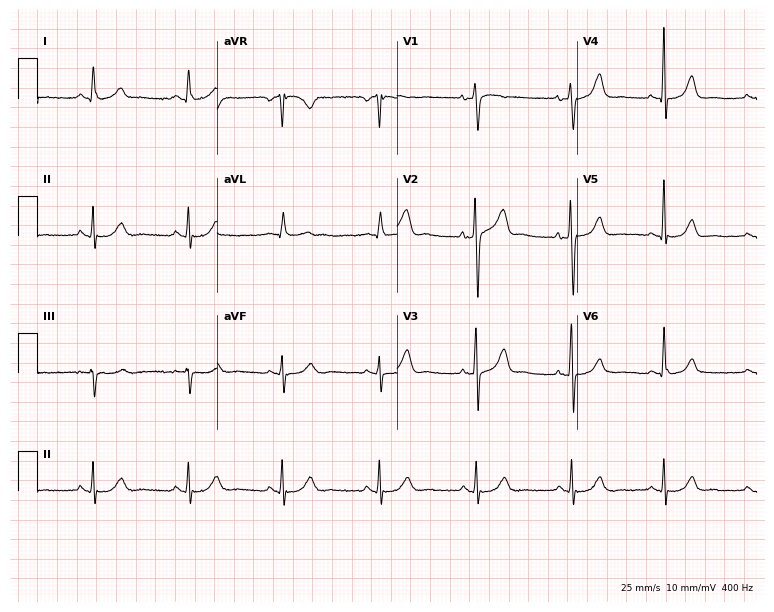
Resting 12-lead electrocardiogram. Patient: a female, 82 years old. Read as a normal ECG.